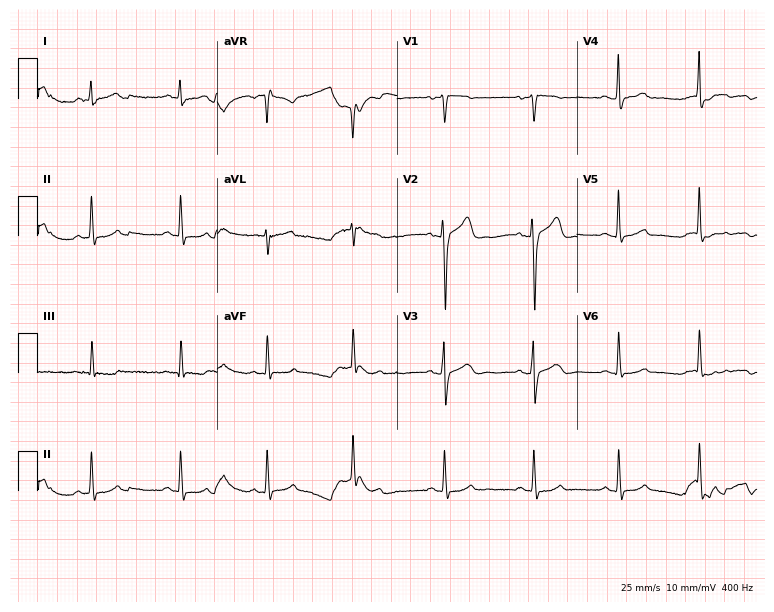
Electrocardiogram (7.3-second recording at 400 Hz), a male, 25 years old. Overall reading on record: normal ECG.